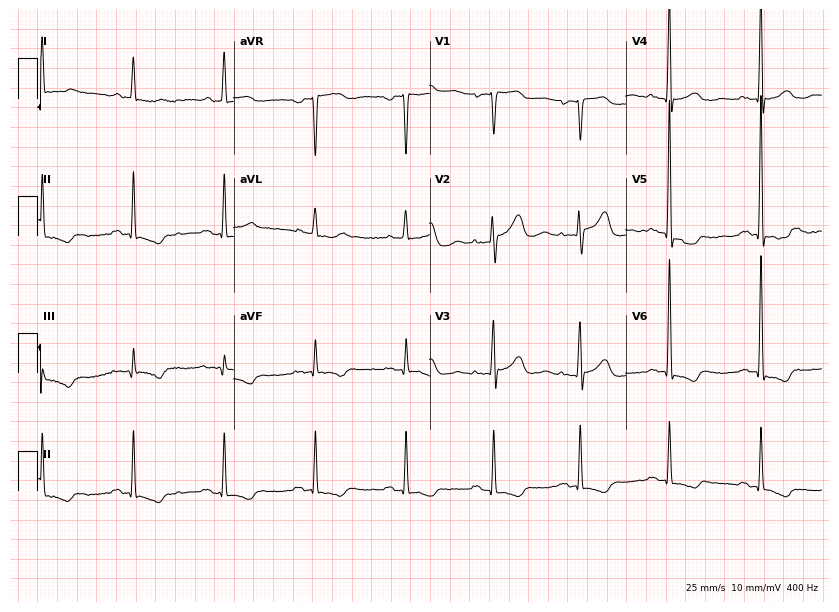
Electrocardiogram (8-second recording at 400 Hz), a male patient, 56 years old. Of the six screened findings (first-degree AV block, right bundle branch block (RBBB), left bundle branch block (LBBB), sinus bradycardia, atrial fibrillation (AF), sinus tachycardia), none is recorded.